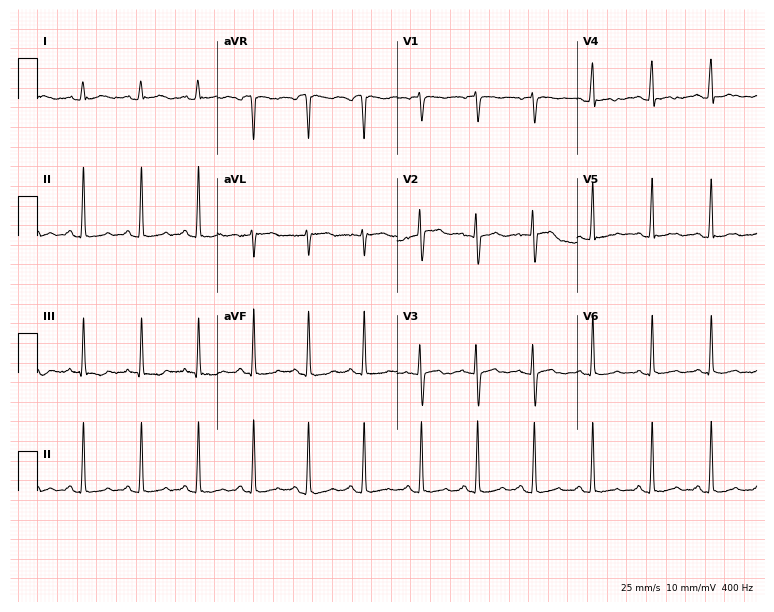
Resting 12-lead electrocardiogram (7.3-second recording at 400 Hz). Patient: a 27-year-old female. The tracing shows sinus tachycardia (a sinus rate of 100 beats per minute or more).